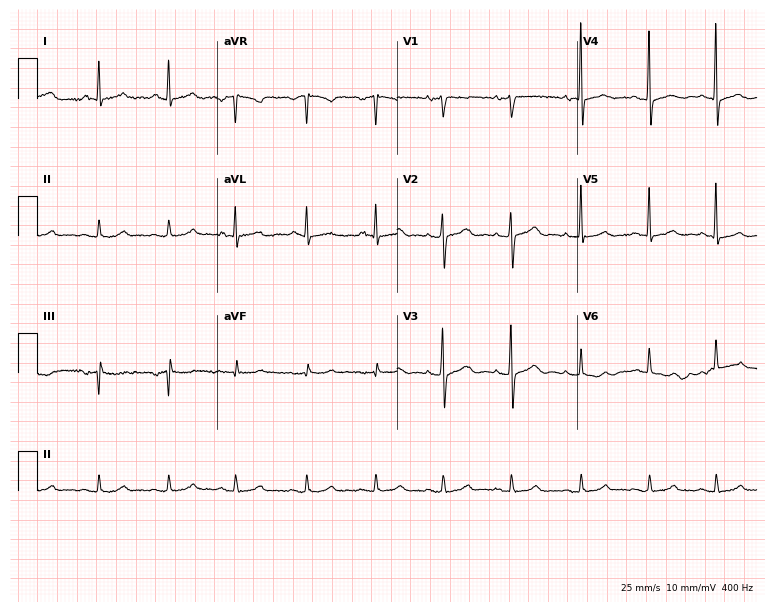
Standard 12-lead ECG recorded from a female, 74 years old (7.3-second recording at 400 Hz). None of these six findings is recorded: first-degree AV block, right bundle branch block, left bundle branch block, sinus bradycardia, atrial fibrillation, sinus tachycardia.